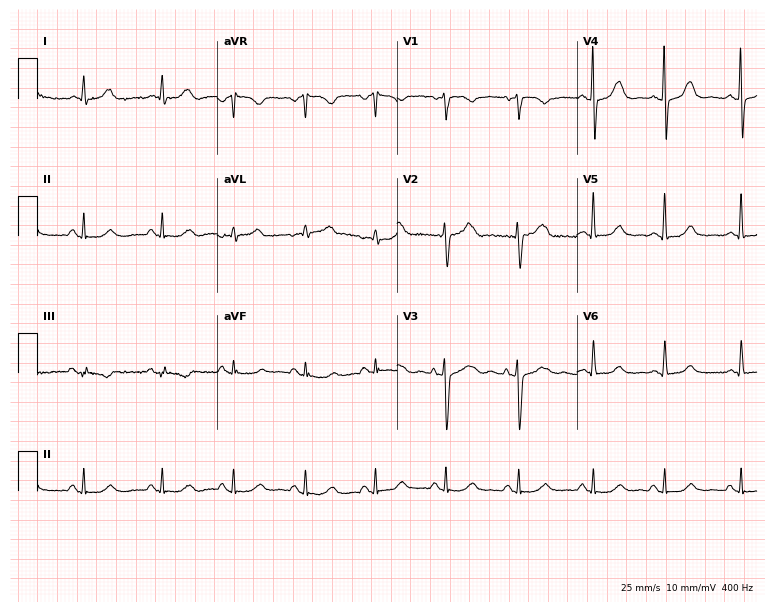
Standard 12-lead ECG recorded from a woman, 51 years old (7.3-second recording at 400 Hz). None of these six findings is recorded: first-degree AV block, right bundle branch block, left bundle branch block, sinus bradycardia, atrial fibrillation, sinus tachycardia.